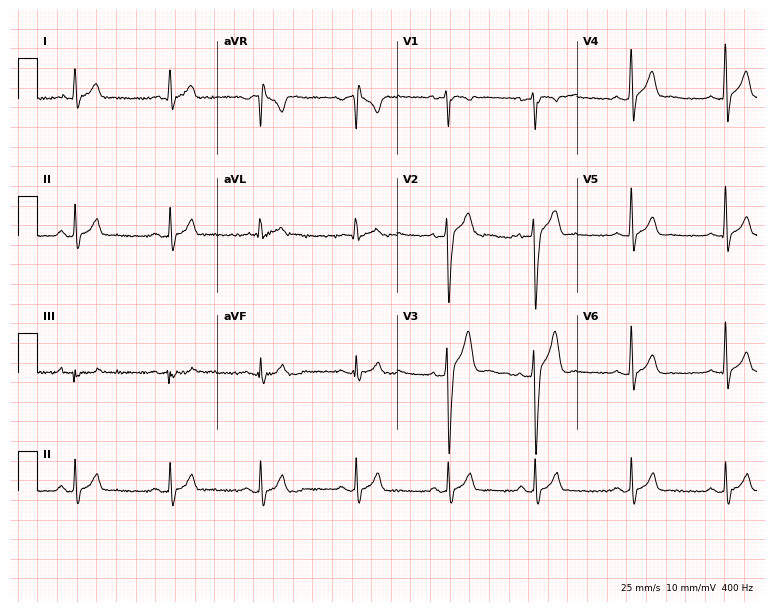
Electrocardiogram (7.3-second recording at 400 Hz), a male, 23 years old. Overall reading on record: normal ECG.